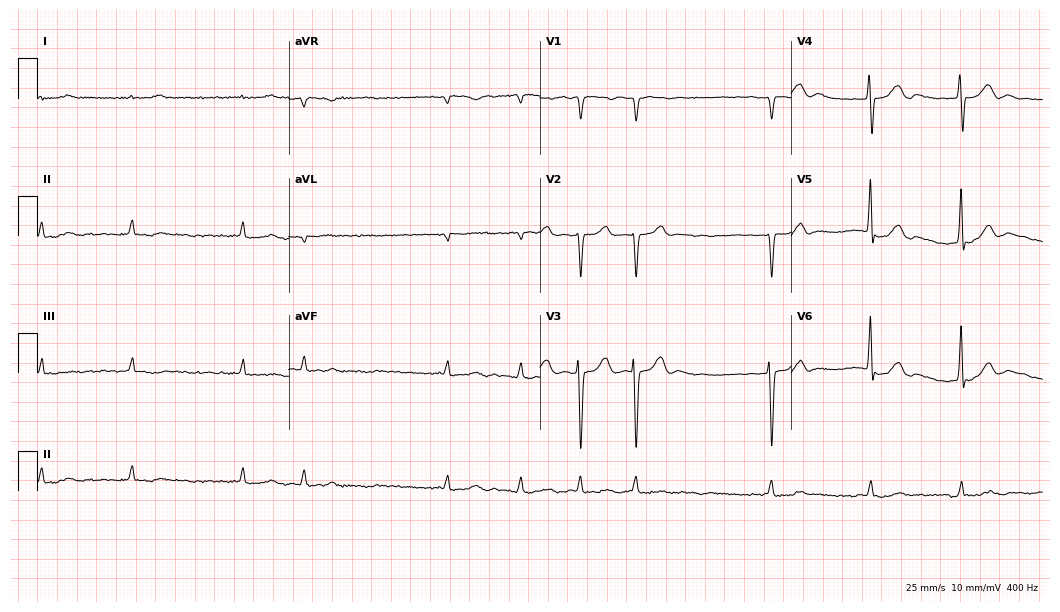
ECG (10.2-second recording at 400 Hz) — a female, 86 years old. Findings include atrial fibrillation (AF).